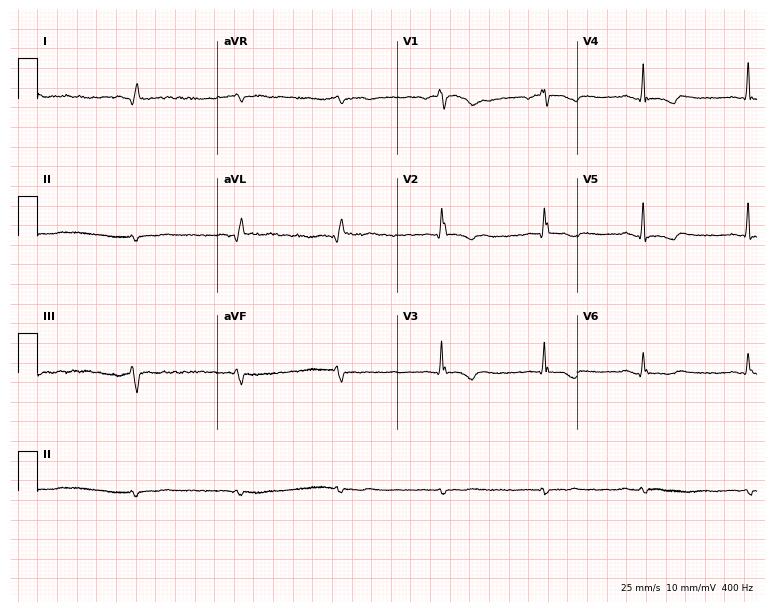
12-lead ECG (7.3-second recording at 400 Hz) from a 61-year-old female. Screened for six findings — first-degree AV block, right bundle branch block (RBBB), left bundle branch block (LBBB), sinus bradycardia, atrial fibrillation (AF), sinus tachycardia — none is recorded.